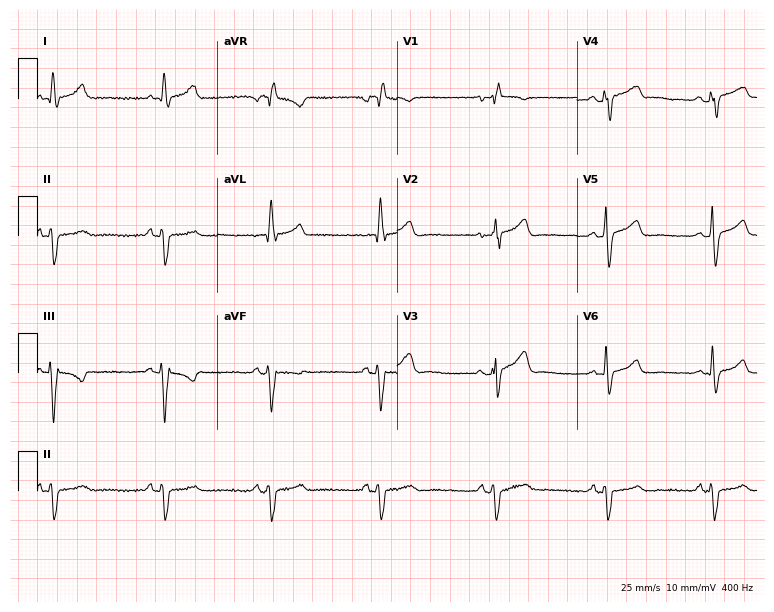
Electrocardiogram, a 41-year-old man. Of the six screened findings (first-degree AV block, right bundle branch block (RBBB), left bundle branch block (LBBB), sinus bradycardia, atrial fibrillation (AF), sinus tachycardia), none is recorded.